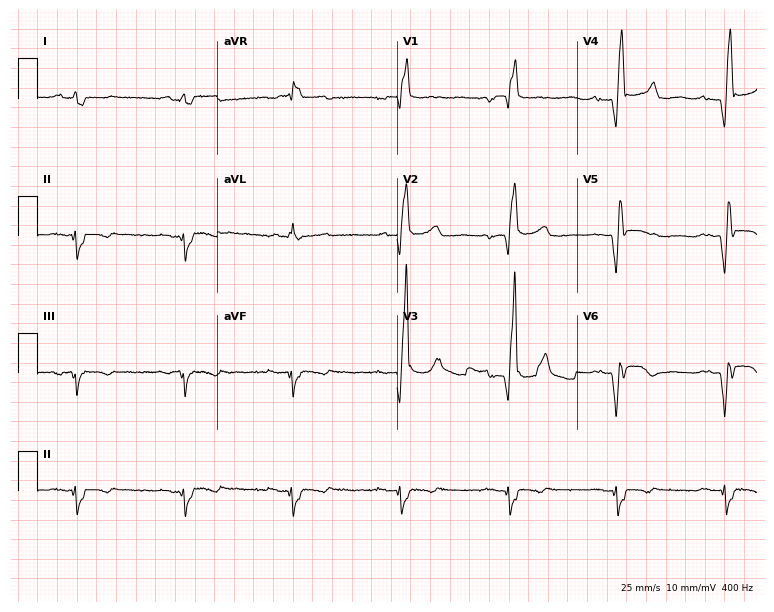
Resting 12-lead electrocardiogram. Patient: an 82-year-old male. The tracing shows first-degree AV block, right bundle branch block.